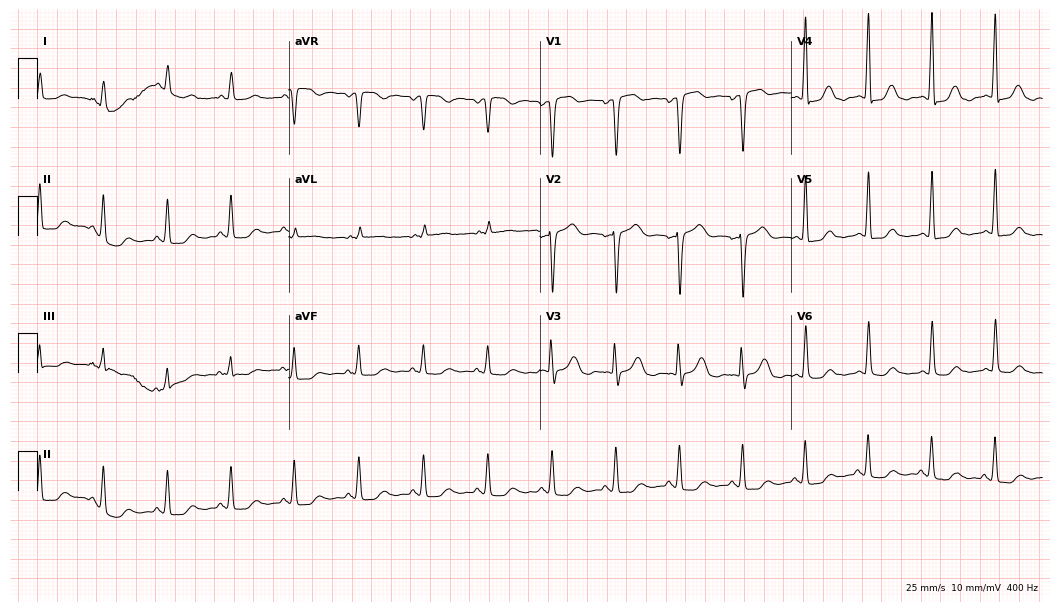
Standard 12-lead ECG recorded from a 73-year-old female patient (10.2-second recording at 400 Hz). None of these six findings is recorded: first-degree AV block, right bundle branch block, left bundle branch block, sinus bradycardia, atrial fibrillation, sinus tachycardia.